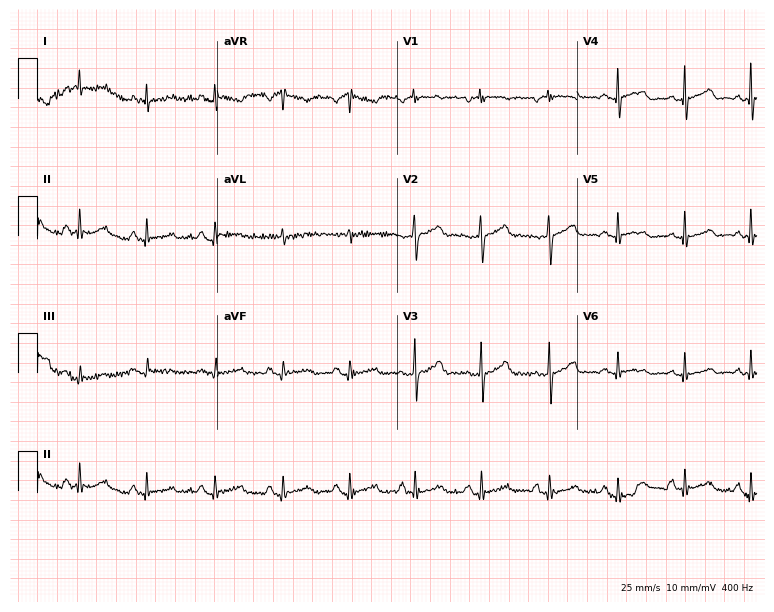
Resting 12-lead electrocardiogram. Patient: a female, 59 years old. Read as a normal ECG.